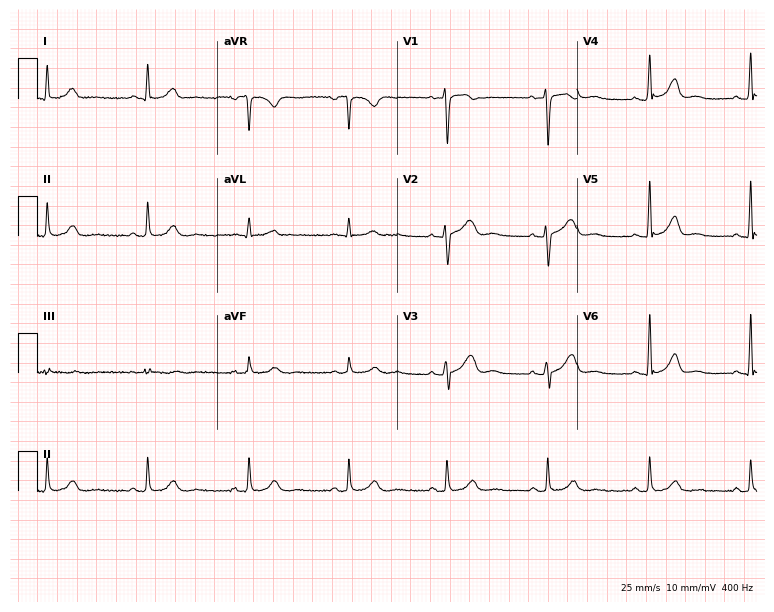
12-lead ECG from a female patient, 48 years old. Screened for six findings — first-degree AV block, right bundle branch block, left bundle branch block, sinus bradycardia, atrial fibrillation, sinus tachycardia — none is recorded.